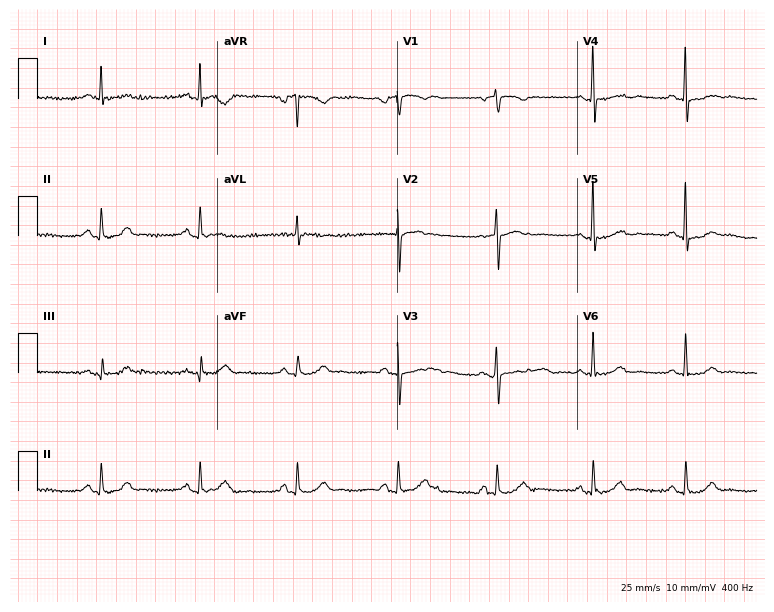
Electrocardiogram, an 80-year-old woman. Of the six screened findings (first-degree AV block, right bundle branch block, left bundle branch block, sinus bradycardia, atrial fibrillation, sinus tachycardia), none is recorded.